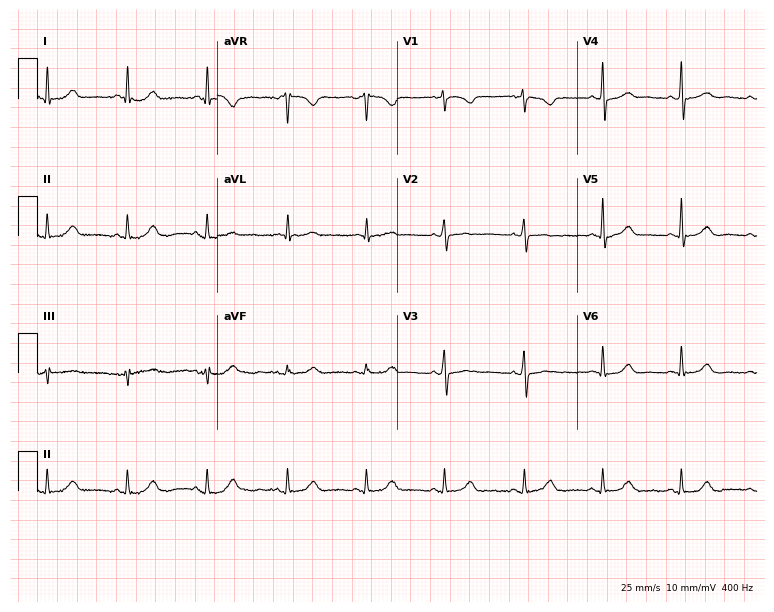
12-lead ECG from a 55-year-old woman. No first-degree AV block, right bundle branch block, left bundle branch block, sinus bradycardia, atrial fibrillation or sinus tachycardia recorded for this tracing. Other findings, if any, are not listed.